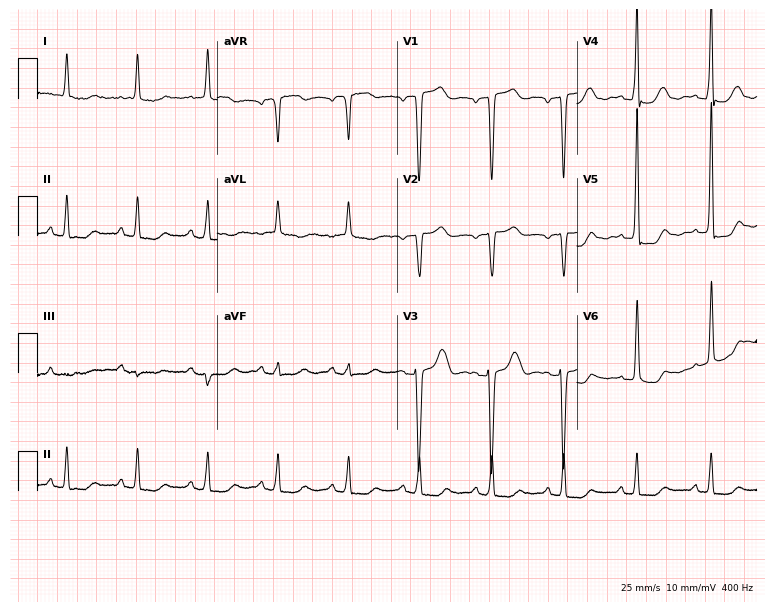
Electrocardiogram (7.3-second recording at 400 Hz), a female, 81 years old. Of the six screened findings (first-degree AV block, right bundle branch block, left bundle branch block, sinus bradycardia, atrial fibrillation, sinus tachycardia), none is recorded.